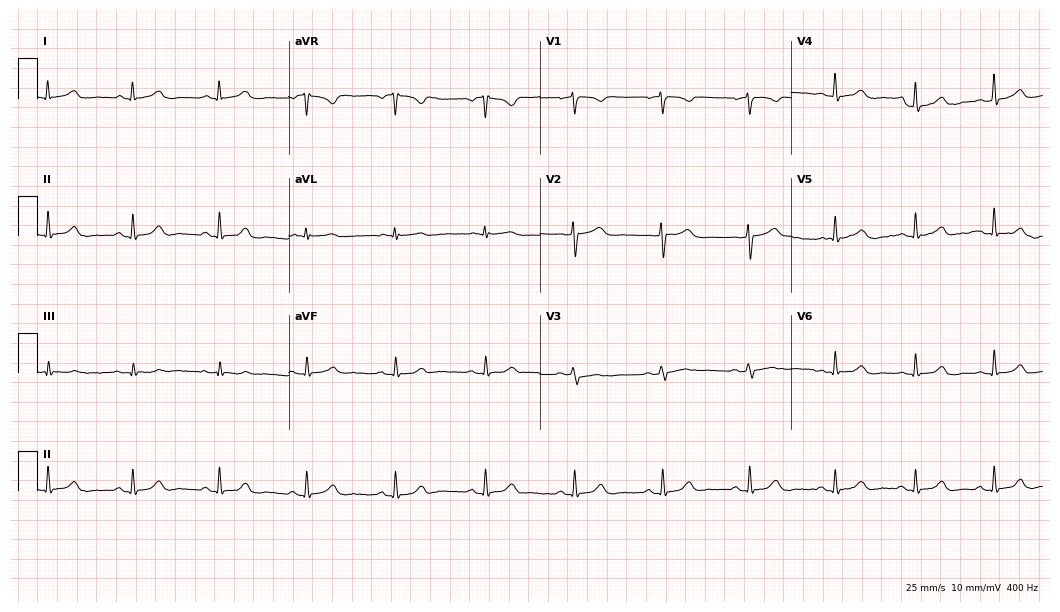
Standard 12-lead ECG recorded from a female, 28 years old. Read as a normal ECG.